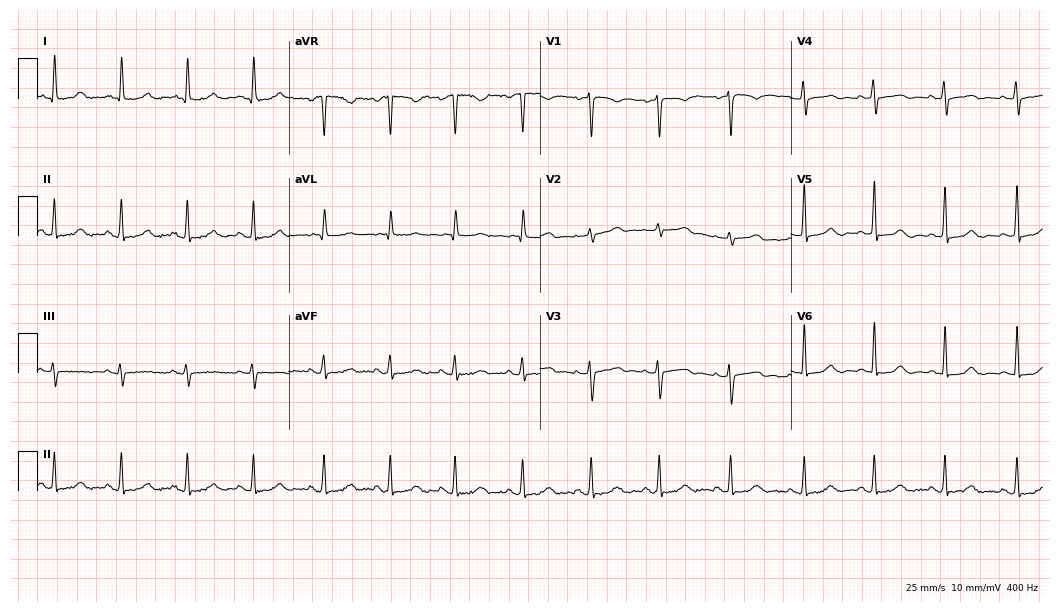
ECG — a 48-year-old woman. Labelled as a normal ECG.